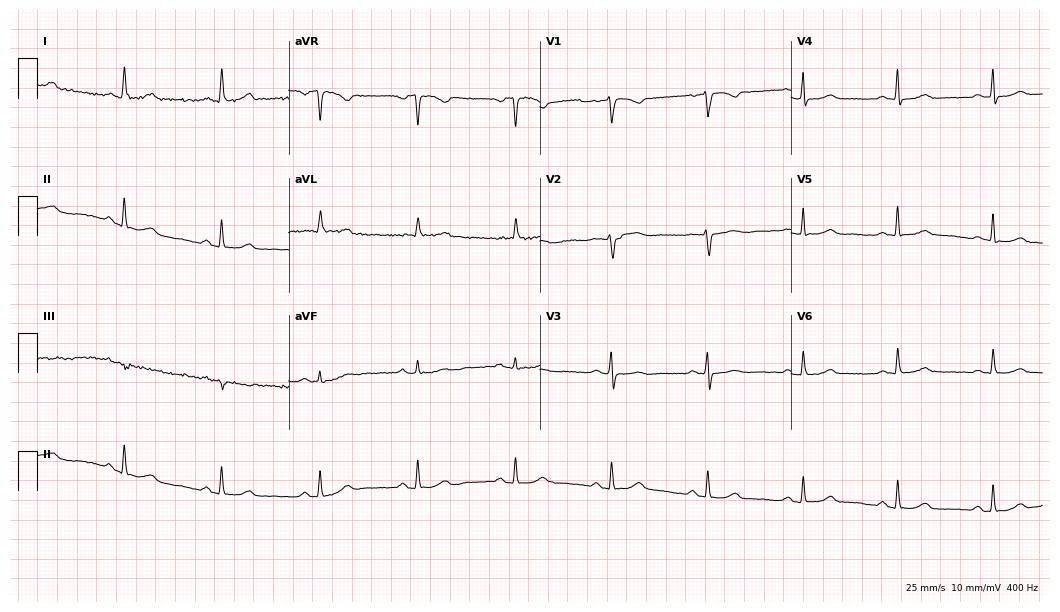
Standard 12-lead ECG recorded from a 64-year-old female (10.2-second recording at 400 Hz). Read as a normal ECG.